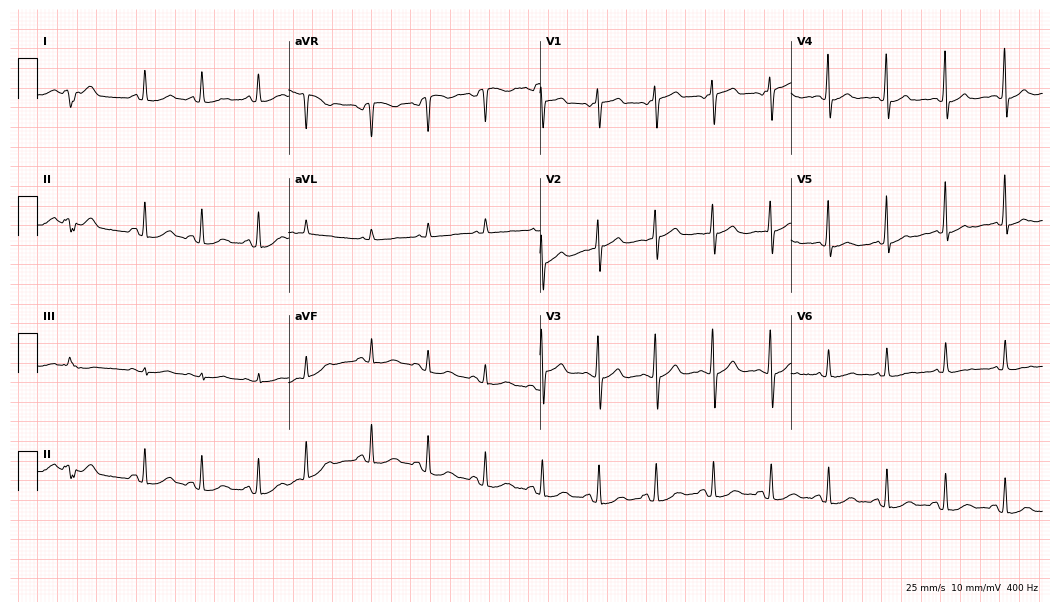
Electrocardiogram, an 80-year-old female patient. Of the six screened findings (first-degree AV block, right bundle branch block (RBBB), left bundle branch block (LBBB), sinus bradycardia, atrial fibrillation (AF), sinus tachycardia), none is recorded. Other findings, if any, are not listed.